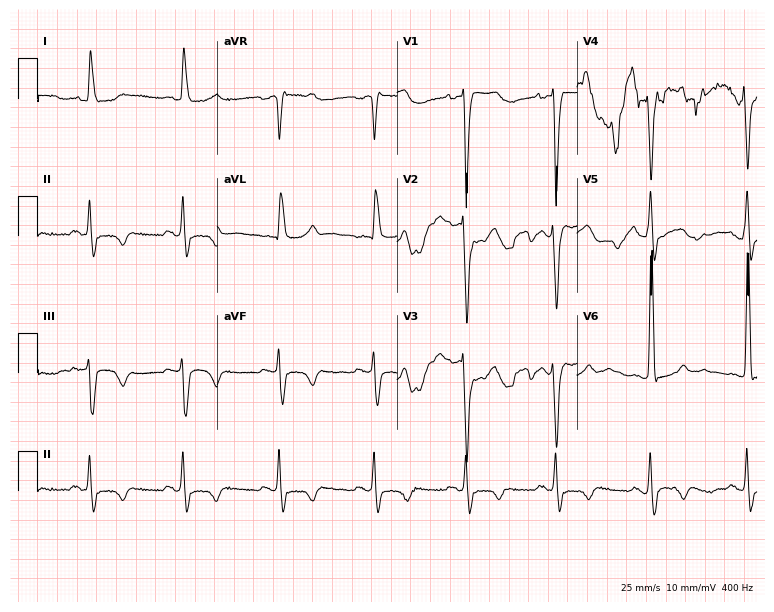
12-lead ECG from a 70-year-old male (7.3-second recording at 400 Hz). No first-degree AV block, right bundle branch block, left bundle branch block, sinus bradycardia, atrial fibrillation or sinus tachycardia recorded for this tracing. Findings outside these six are not listed.